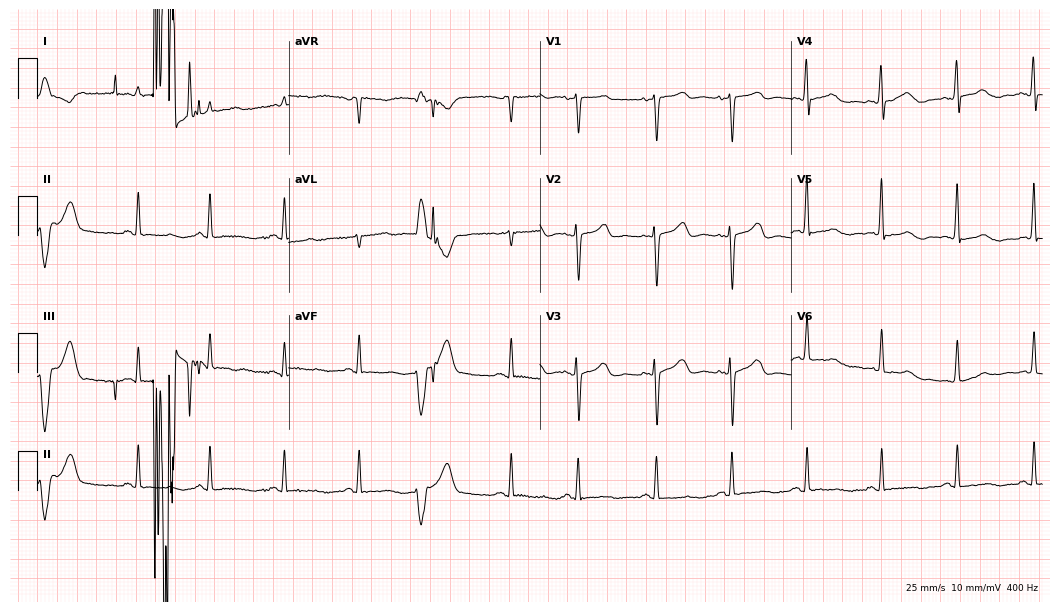
Electrocardiogram, a female, 66 years old. Of the six screened findings (first-degree AV block, right bundle branch block, left bundle branch block, sinus bradycardia, atrial fibrillation, sinus tachycardia), none is recorded. Other findings, if any, are not listed.